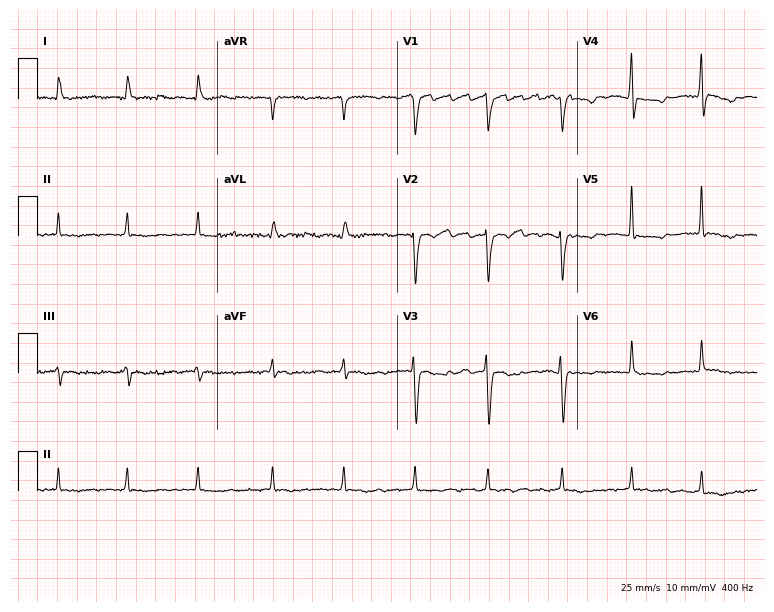
Electrocardiogram, a 79-year-old woman. Of the six screened findings (first-degree AV block, right bundle branch block, left bundle branch block, sinus bradycardia, atrial fibrillation, sinus tachycardia), none is recorded.